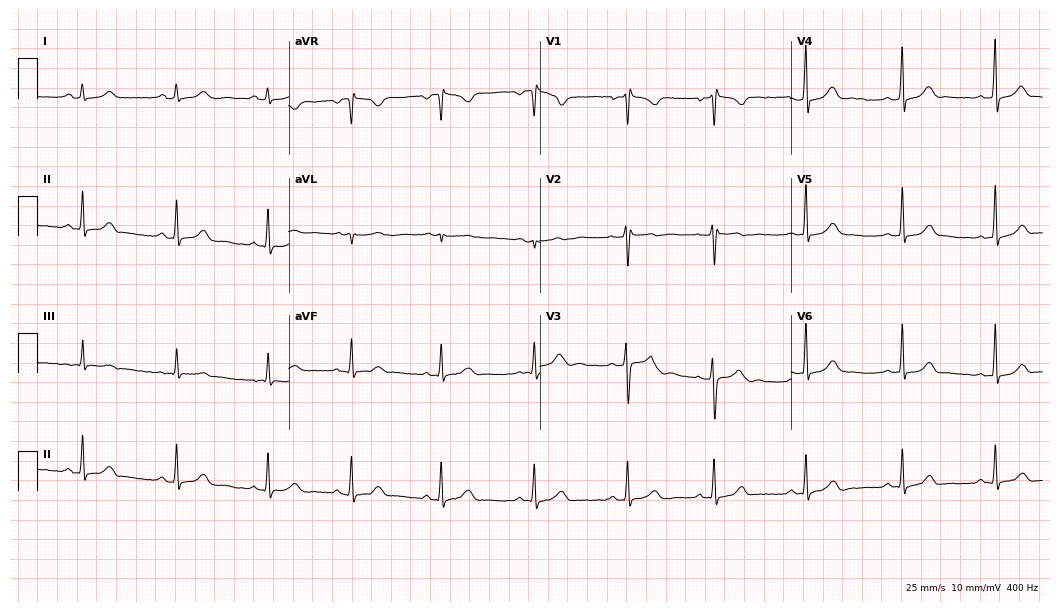
Resting 12-lead electrocardiogram (10.2-second recording at 400 Hz). Patient: a 19-year-old female. Read as a normal ECG.